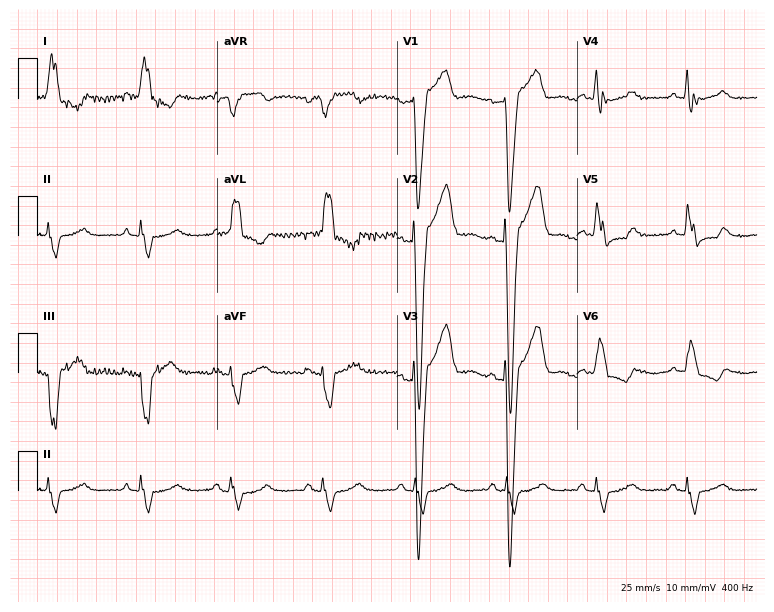
Resting 12-lead electrocardiogram. Patient: a man, 81 years old. The tracing shows left bundle branch block.